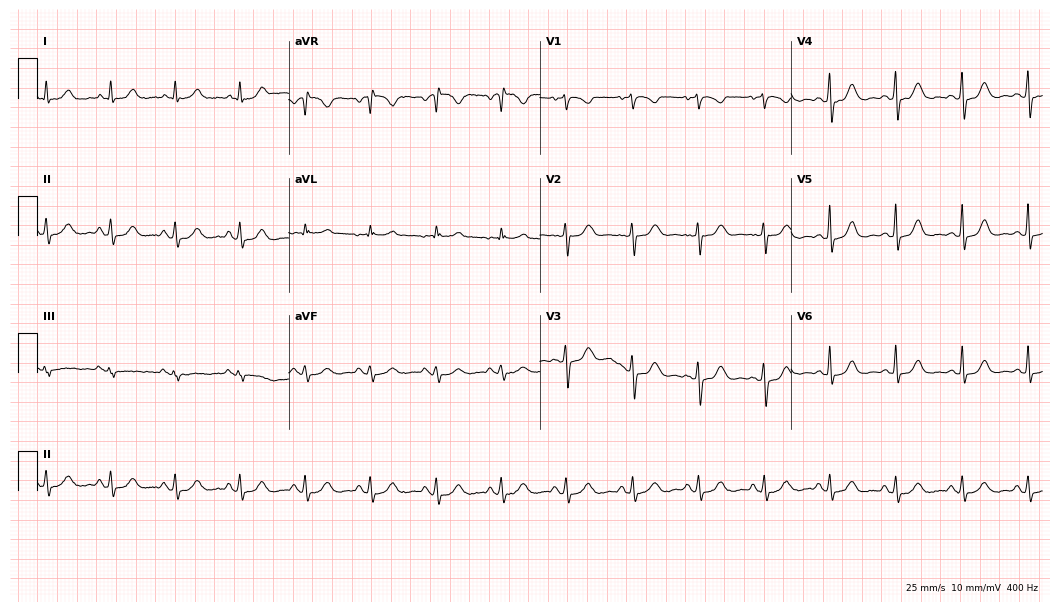
ECG — a woman, 62 years old. Labelled as a normal ECG.